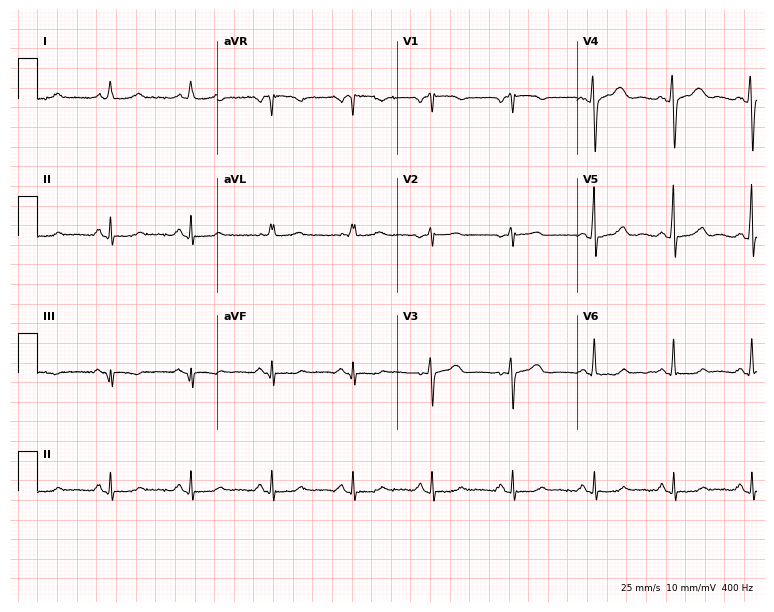
12-lead ECG from a female patient, 54 years old. Screened for six findings — first-degree AV block, right bundle branch block, left bundle branch block, sinus bradycardia, atrial fibrillation, sinus tachycardia — none is recorded.